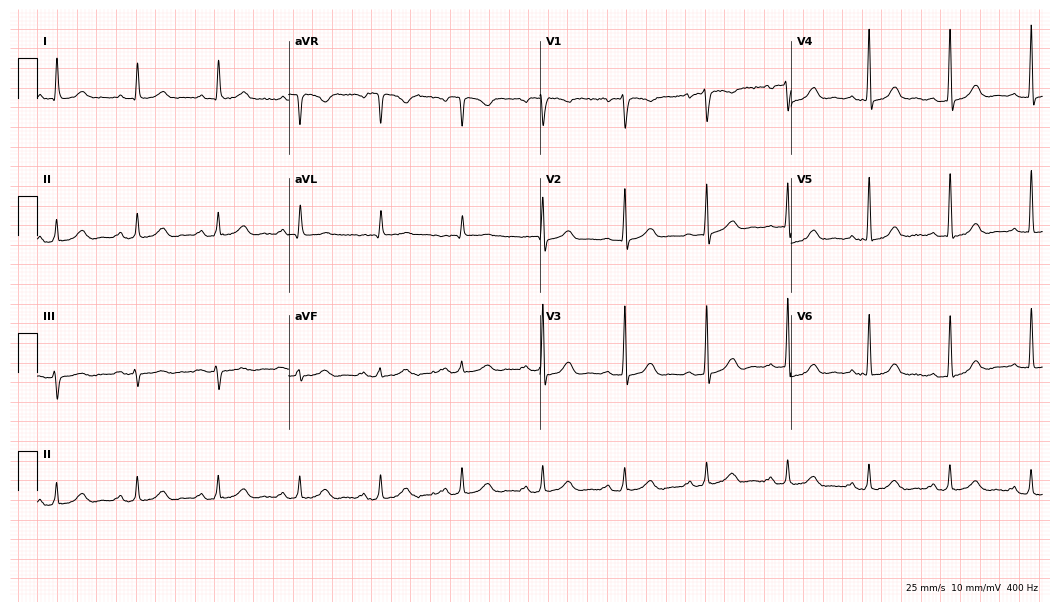
12-lead ECG from a male, 77 years old. Screened for six findings — first-degree AV block, right bundle branch block, left bundle branch block, sinus bradycardia, atrial fibrillation, sinus tachycardia — none is recorded. Only these six findings were labelled.